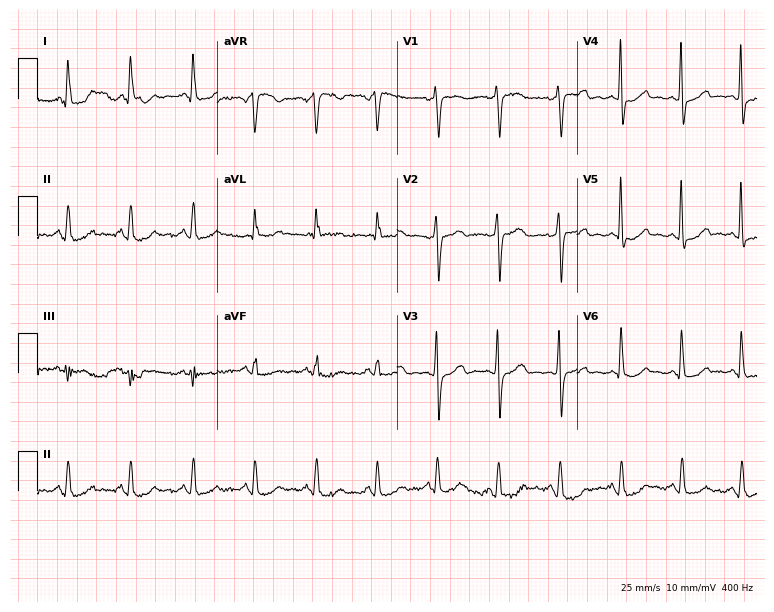
12-lead ECG from a 56-year-old female (7.3-second recording at 400 Hz). Recorded interpretation: within normal limits.